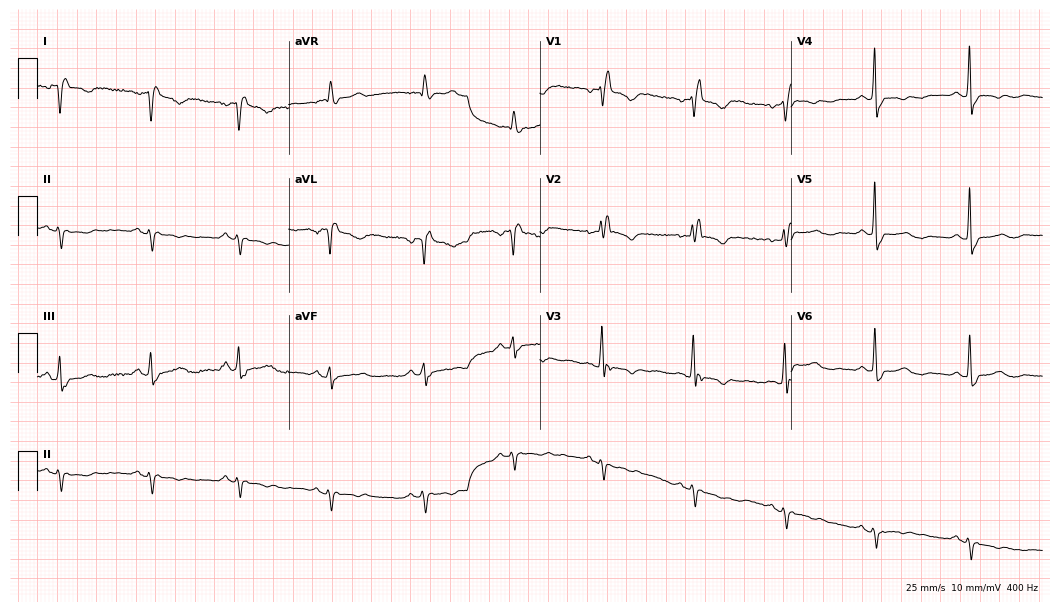
Standard 12-lead ECG recorded from a female patient, 57 years old (10.2-second recording at 400 Hz). None of these six findings is recorded: first-degree AV block, right bundle branch block, left bundle branch block, sinus bradycardia, atrial fibrillation, sinus tachycardia.